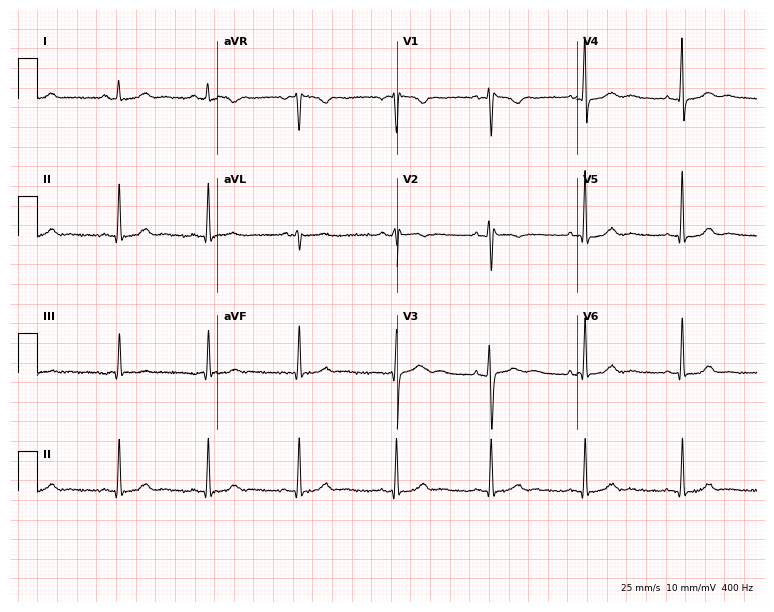
Electrocardiogram, a 41-year-old female. Of the six screened findings (first-degree AV block, right bundle branch block (RBBB), left bundle branch block (LBBB), sinus bradycardia, atrial fibrillation (AF), sinus tachycardia), none is recorded. Other findings, if any, are not listed.